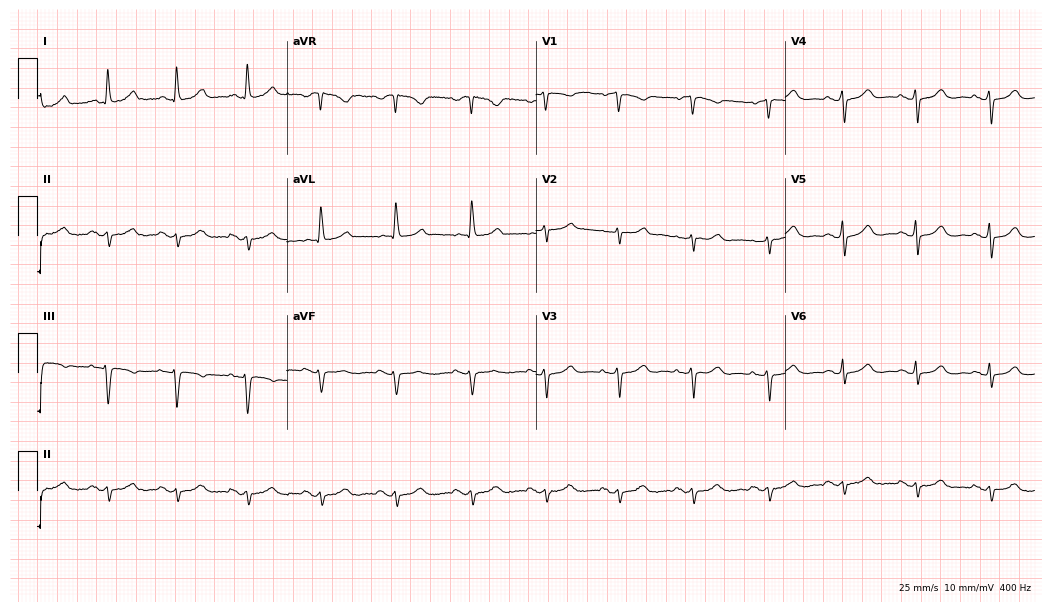
Resting 12-lead electrocardiogram. Patient: a woman, 71 years old. None of these six findings is recorded: first-degree AV block, right bundle branch block (RBBB), left bundle branch block (LBBB), sinus bradycardia, atrial fibrillation (AF), sinus tachycardia.